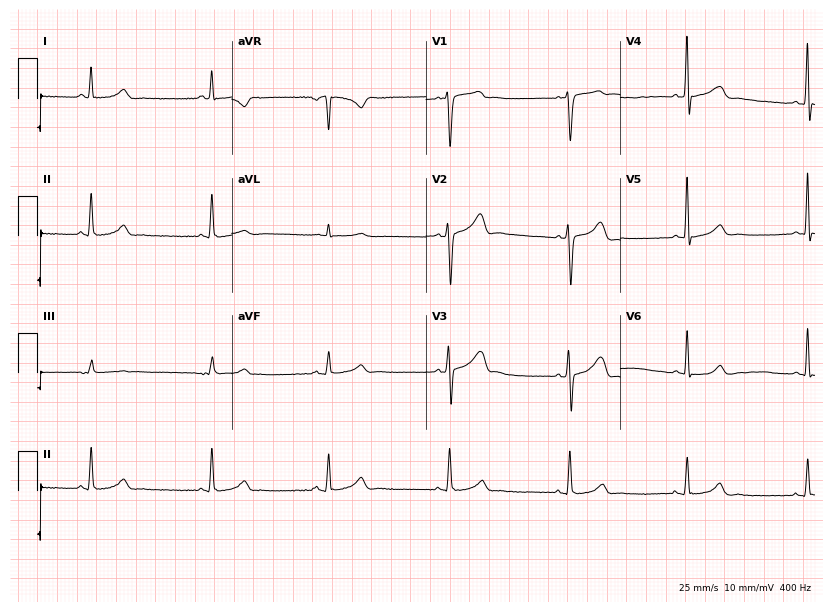
Electrocardiogram, a 50-year-old man. Interpretation includes sinus bradycardia (a sinus rate of 50 beats per minute or less).